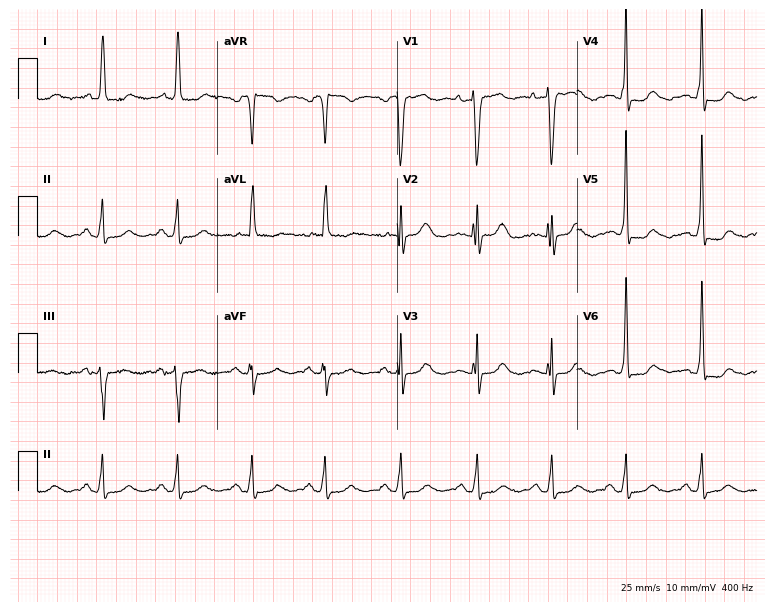
12-lead ECG from a 76-year-old female (7.3-second recording at 400 Hz). No first-degree AV block, right bundle branch block (RBBB), left bundle branch block (LBBB), sinus bradycardia, atrial fibrillation (AF) or sinus tachycardia recorded for this tracing.